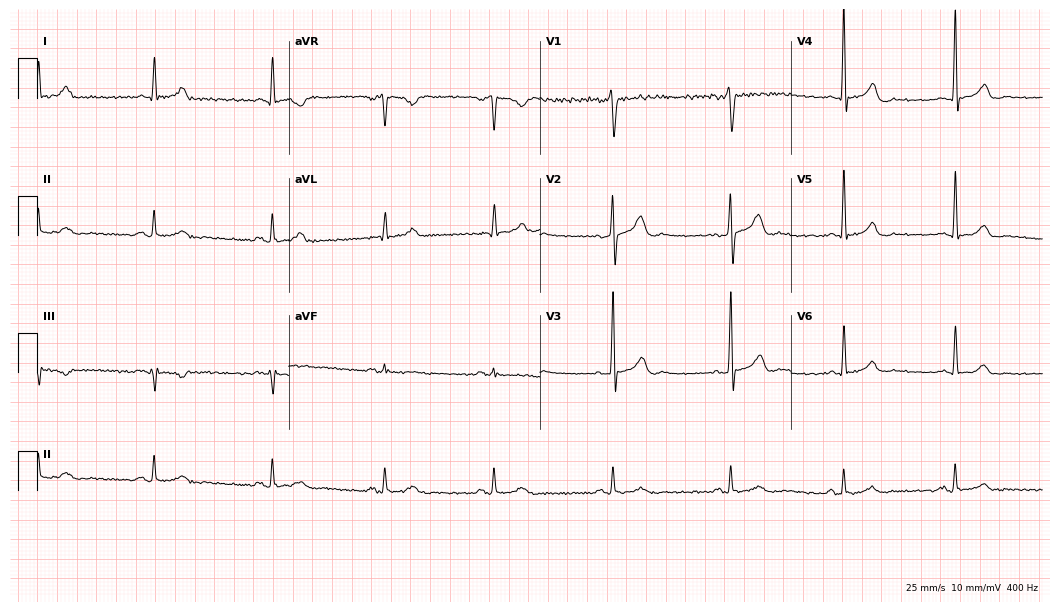
ECG (10.2-second recording at 400 Hz) — a male, 59 years old. Labelled as a normal ECG.